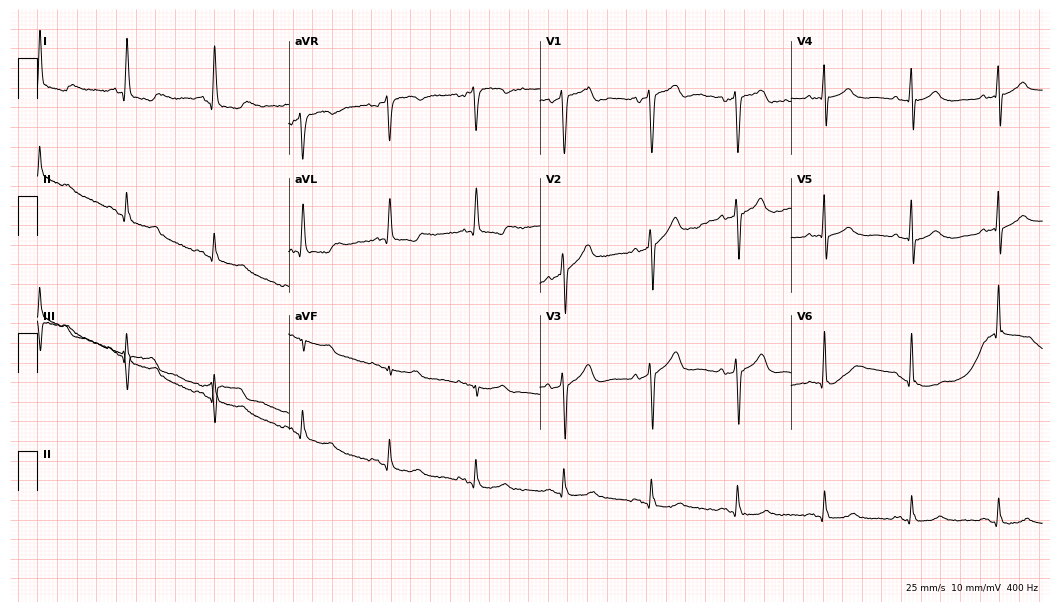
12-lead ECG from a woman, 79 years old. No first-degree AV block, right bundle branch block, left bundle branch block, sinus bradycardia, atrial fibrillation or sinus tachycardia recorded for this tracing. Other findings, if any, are not listed.